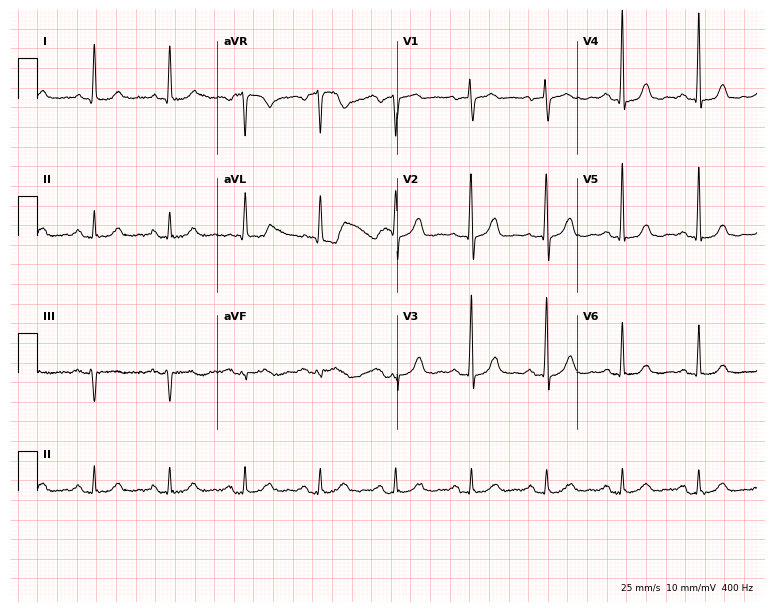
12-lead ECG from a female, 71 years old. Recorded interpretation: within normal limits.